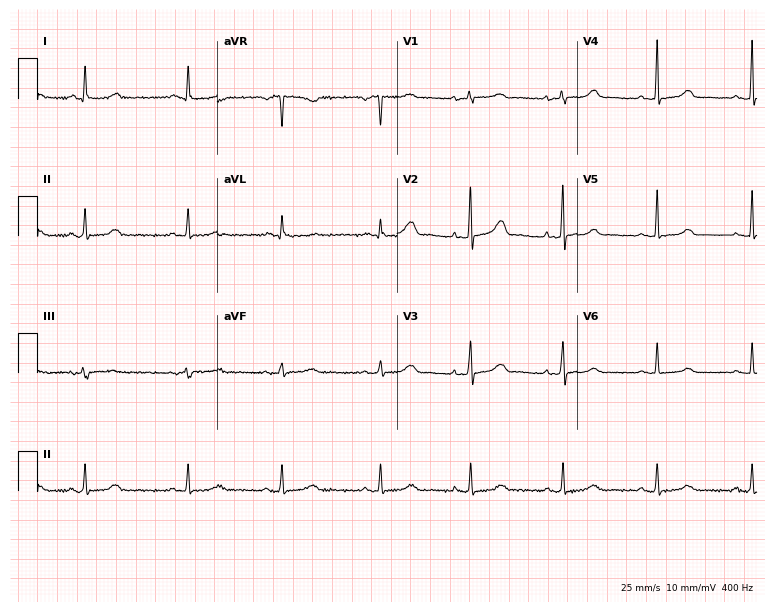
Electrocardiogram (7.3-second recording at 400 Hz), a female patient, 59 years old. Of the six screened findings (first-degree AV block, right bundle branch block (RBBB), left bundle branch block (LBBB), sinus bradycardia, atrial fibrillation (AF), sinus tachycardia), none is recorded. Findings outside these six are not listed.